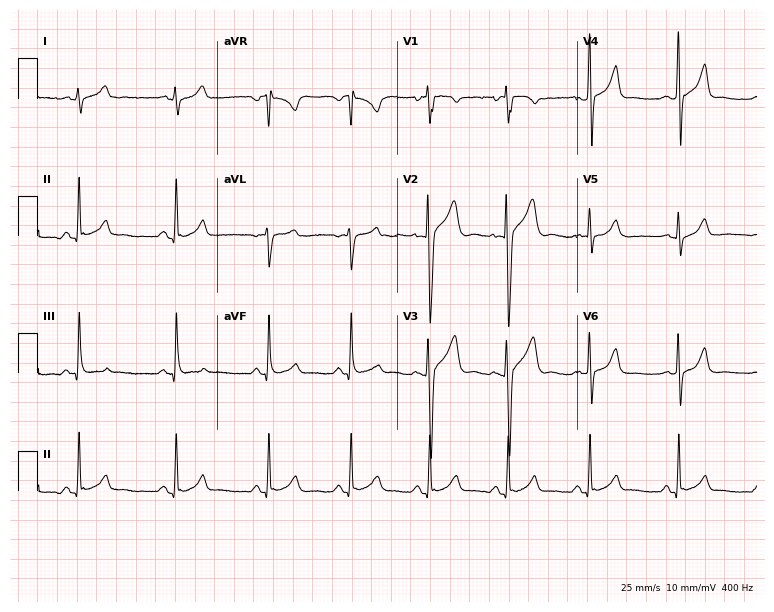
ECG — an 18-year-old male patient. Screened for six findings — first-degree AV block, right bundle branch block, left bundle branch block, sinus bradycardia, atrial fibrillation, sinus tachycardia — none is recorded. Other findings, if any, are not listed.